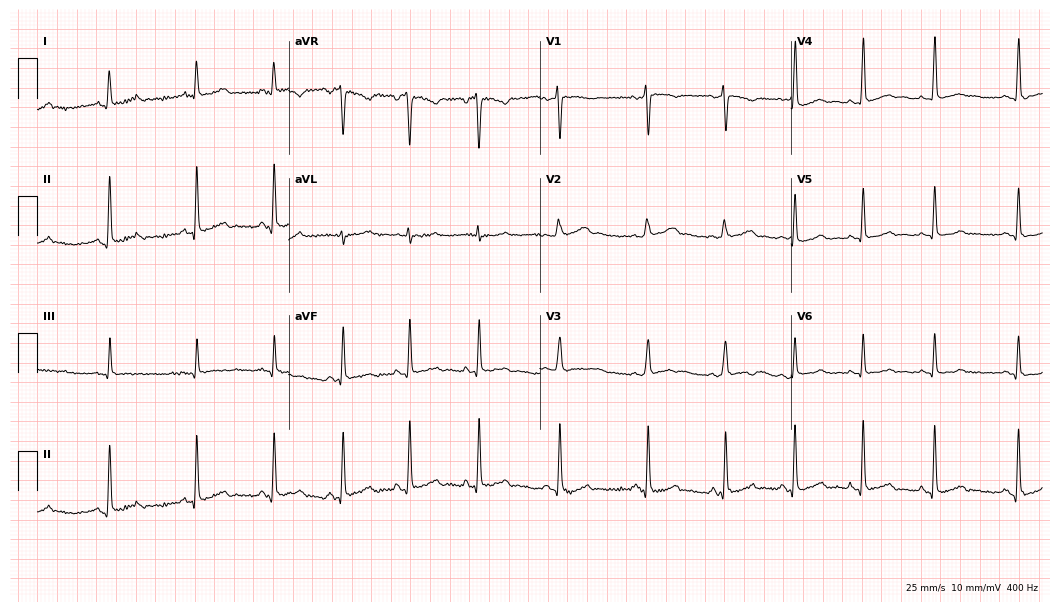
Electrocardiogram, a female patient, 19 years old. Overall reading on record: normal ECG.